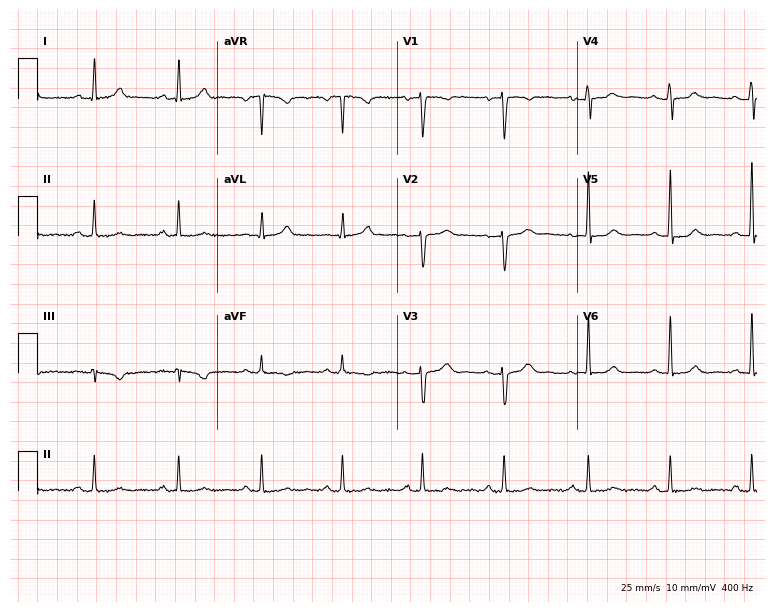
Resting 12-lead electrocardiogram. Patient: a 32-year-old female. None of these six findings is recorded: first-degree AV block, right bundle branch block, left bundle branch block, sinus bradycardia, atrial fibrillation, sinus tachycardia.